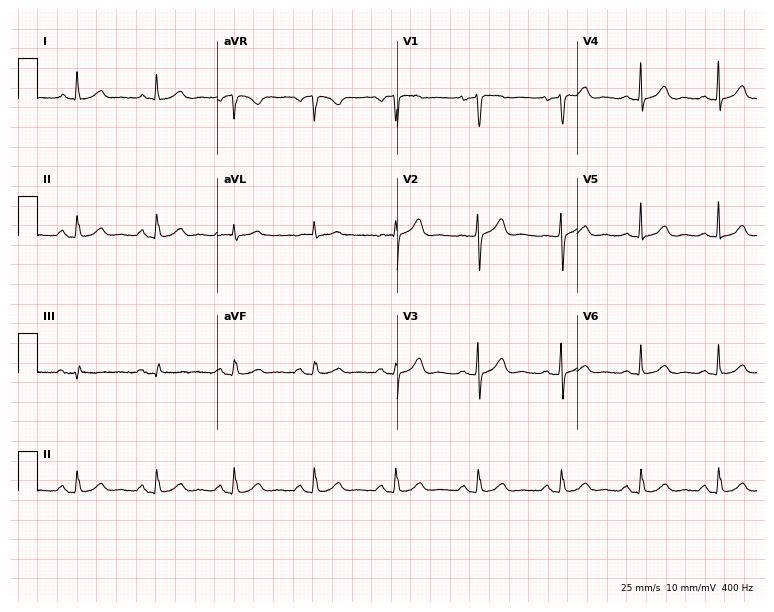
12-lead ECG from a female patient, 70 years old. Labelled as a normal ECG.